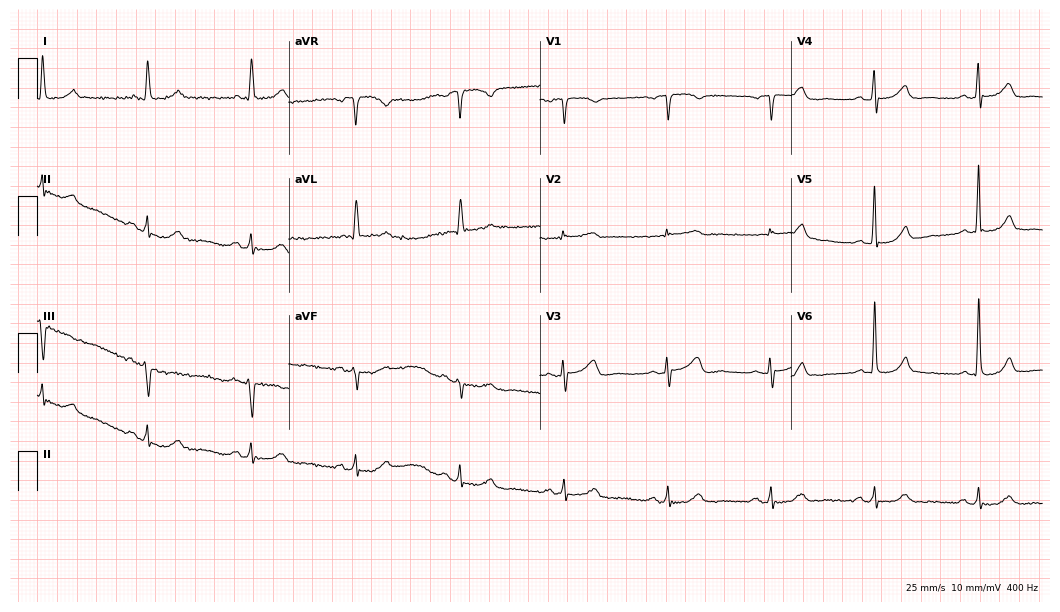
Standard 12-lead ECG recorded from a 78-year-old female patient (10.2-second recording at 400 Hz). Read as a normal ECG.